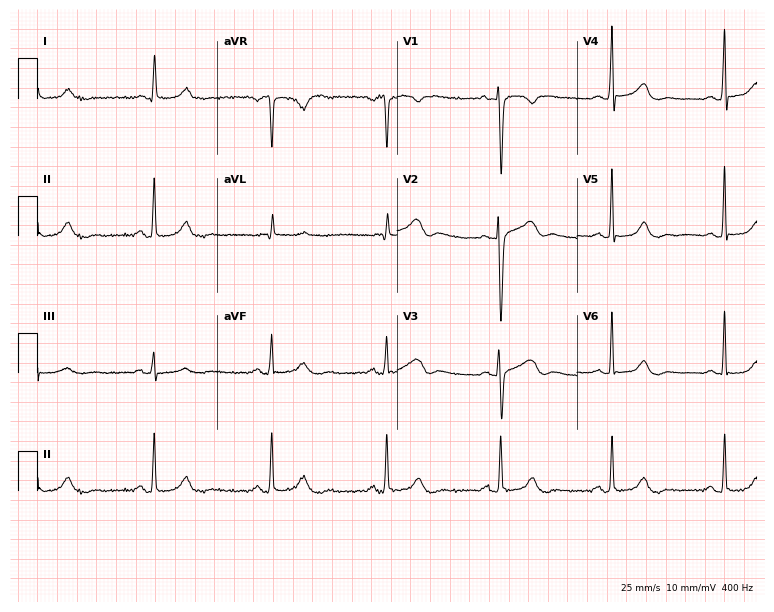
Resting 12-lead electrocardiogram (7.3-second recording at 400 Hz). Patient: a 47-year-old woman. None of these six findings is recorded: first-degree AV block, right bundle branch block, left bundle branch block, sinus bradycardia, atrial fibrillation, sinus tachycardia. Findings outside these six are not listed.